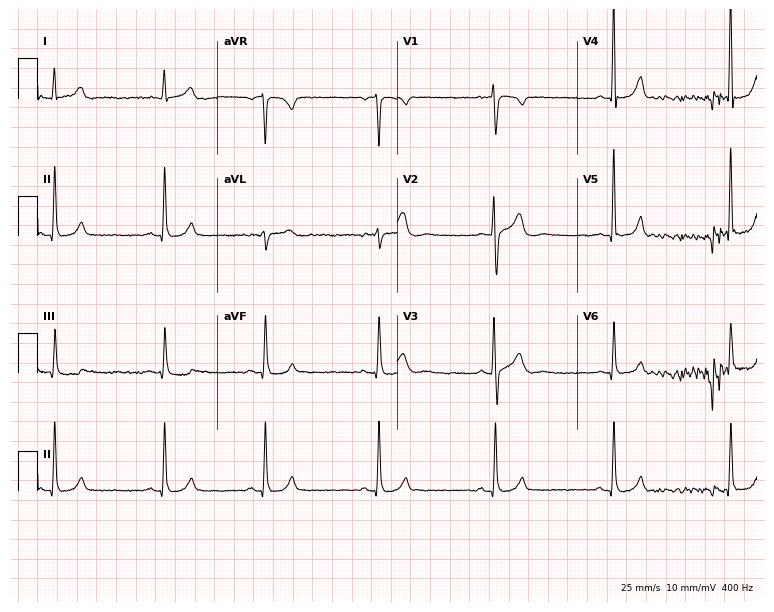
12-lead ECG from a male, 48 years old. Screened for six findings — first-degree AV block, right bundle branch block, left bundle branch block, sinus bradycardia, atrial fibrillation, sinus tachycardia — none is recorded.